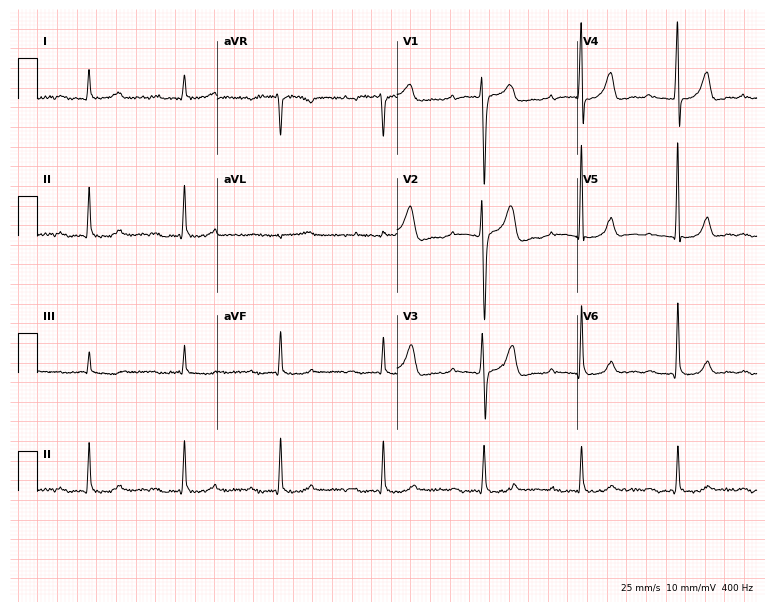
Resting 12-lead electrocardiogram. Patient: a male, 47 years old. The tracing shows first-degree AV block.